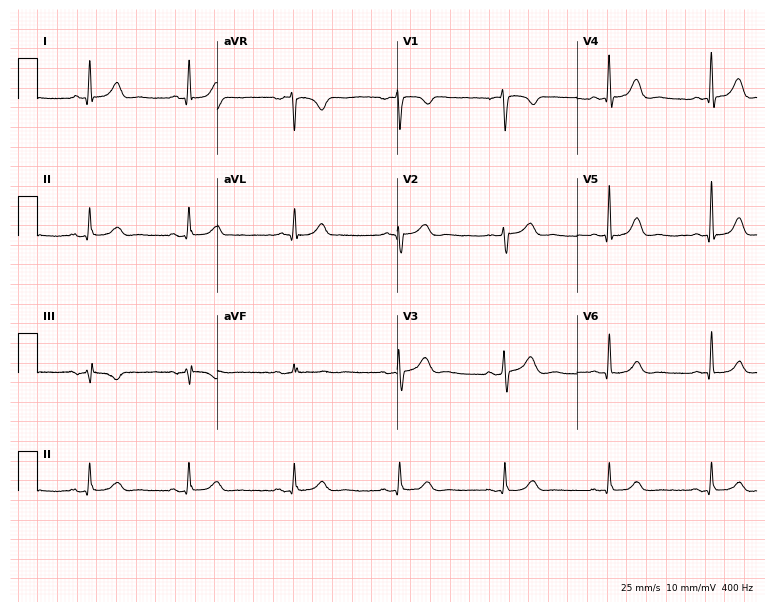
Electrocardiogram (7.3-second recording at 400 Hz), a 54-year-old male patient. Overall reading on record: normal ECG.